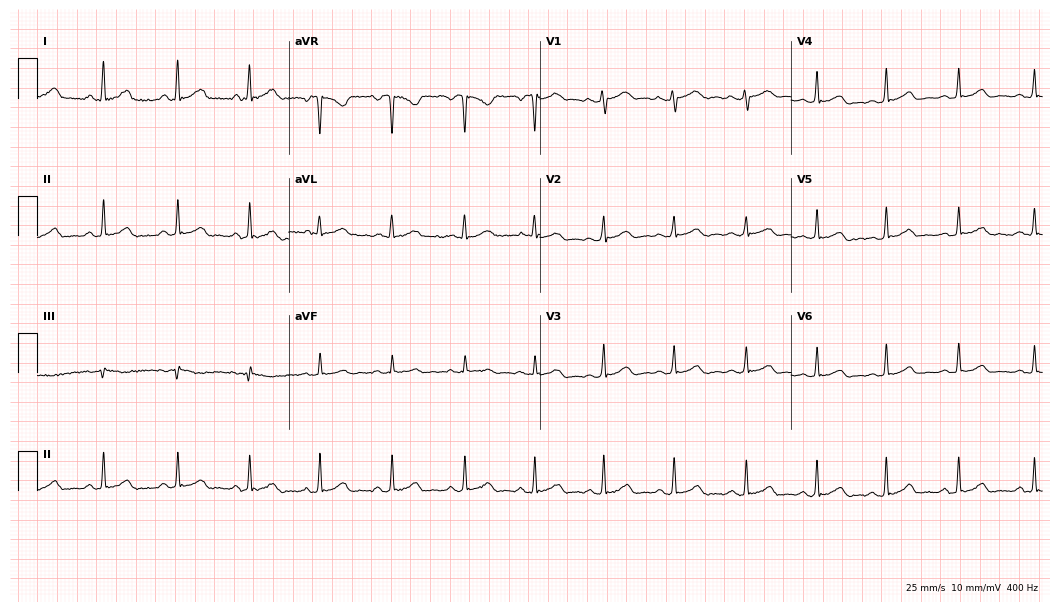
Electrocardiogram (10.2-second recording at 400 Hz), a female patient, 33 years old. Overall reading on record: normal ECG.